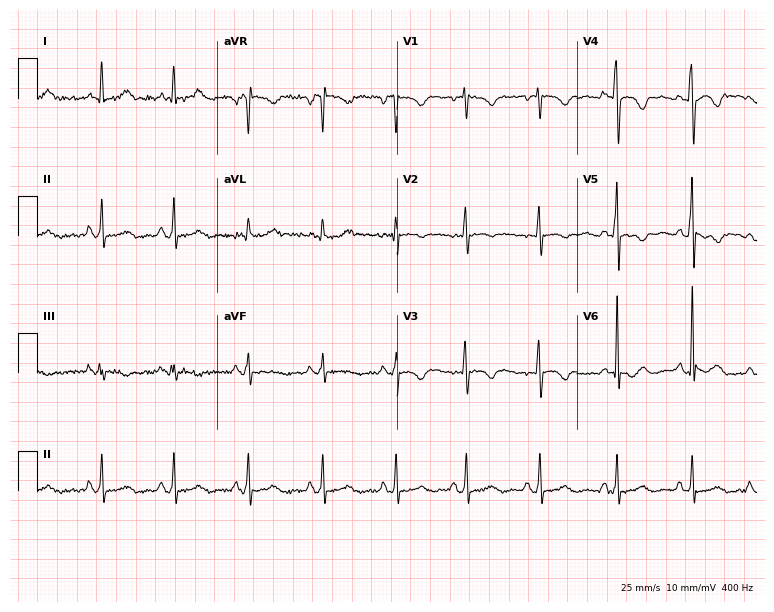
12-lead ECG from a 28-year-old woman (7.3-second recording at 400 Hz). No first-degree AV block, right bundle branch block, left bundle branch block, sinus bradycardia, atrial fibrillation or sinus tachycardia recorded for this tracing. Other findings, if any, are not listed.